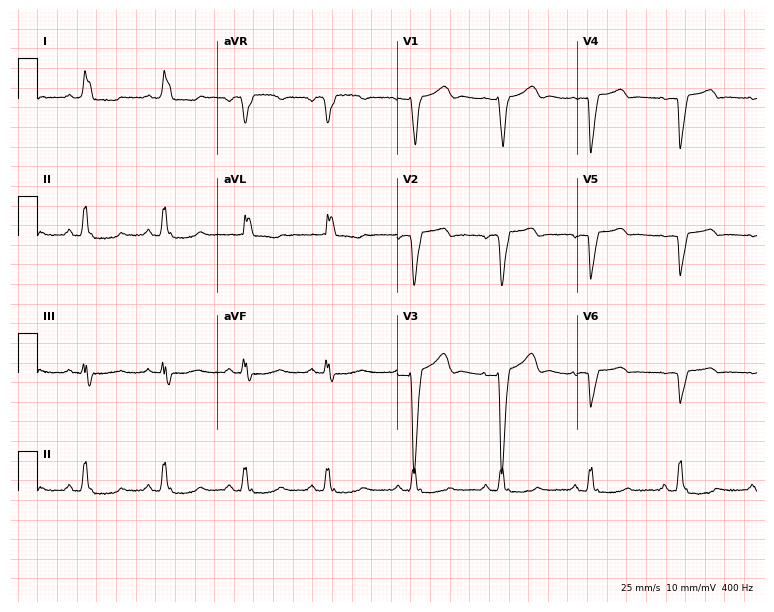
ECG (7.3-second recording at 400 Hz) — a woman, 73 years old. Findings include left bundle branch block (LBBB).